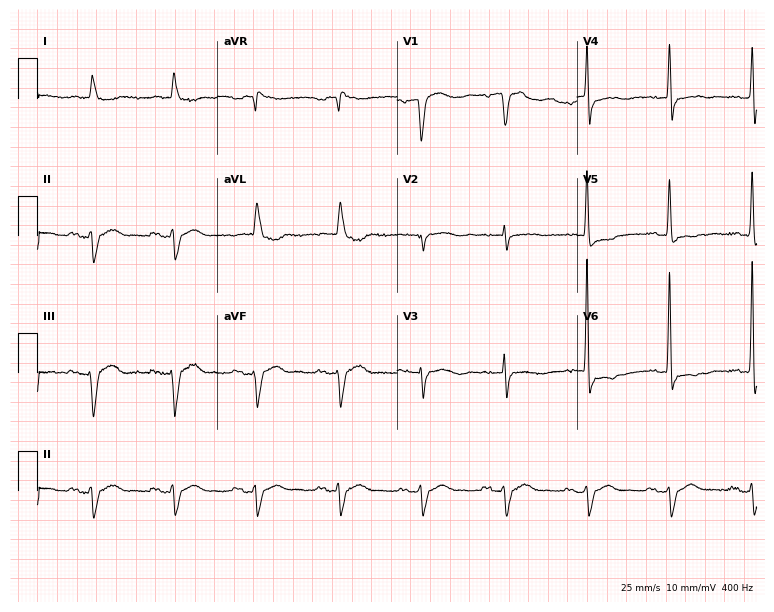
Resting 12-lead electrocardiogram. Patient: a woman, 80 years old. None of these six findings is recorded: first-degree AV block, right bundle branch block (RBBB), left bundle branch block (LBBB), sinus bradycardia, atrial fibrillation (AF), sinus tachycardia.